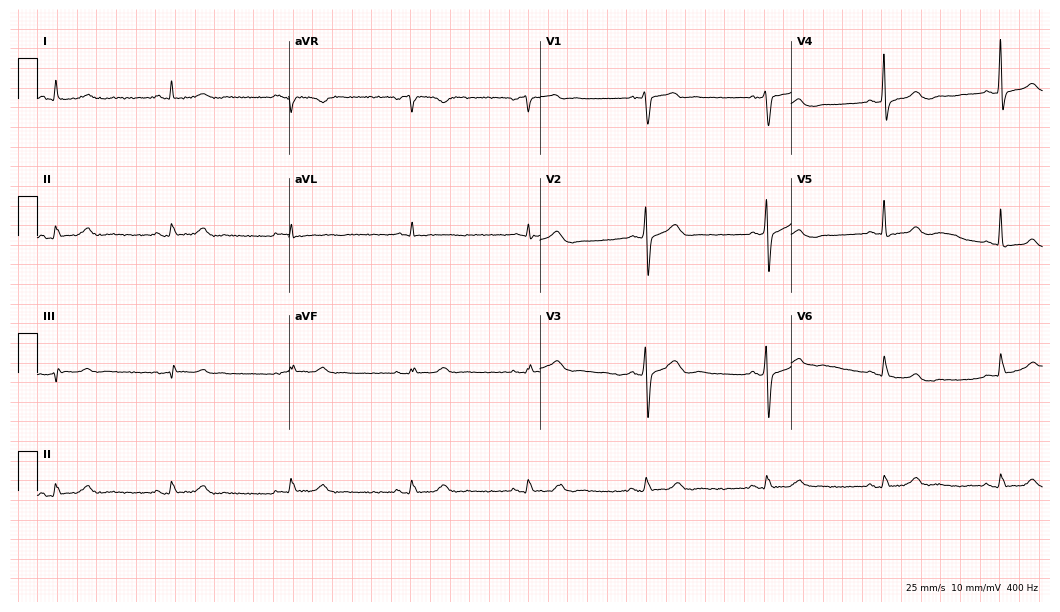
Resting 12-lead electrocardiogram (10.2-second recording at 400 Hz). Patient: a man, 59 years old. Read as a normal ECG.